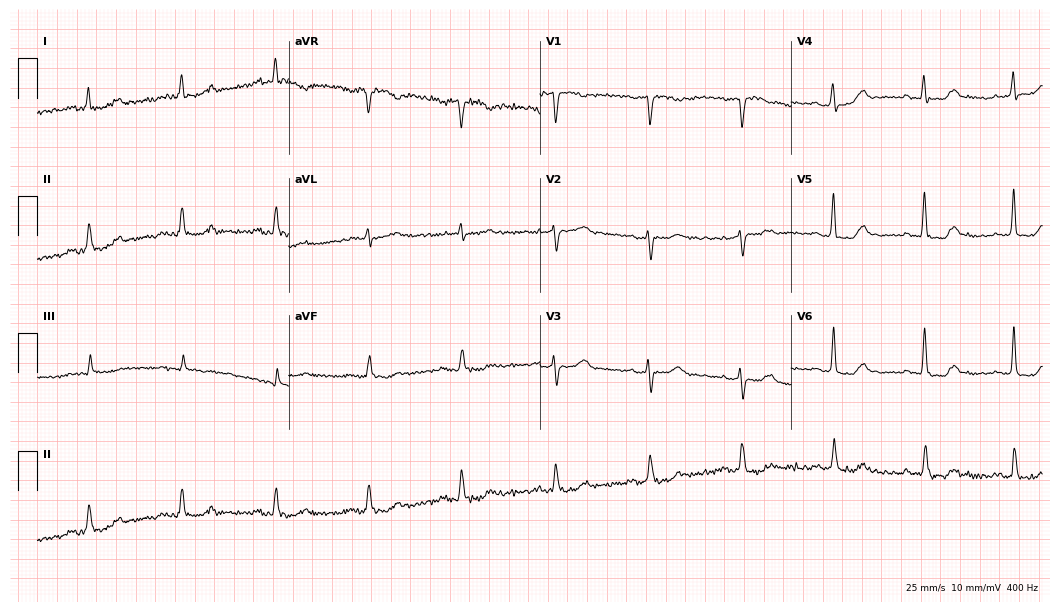
Resting 12-lead electrocardiogram (10.2-second recording at 400 Hz). Patient: a 69-year-old female. None of these six findings is recorded: first-degree AV block, right bundle branch block, left bundle branch block, sinus bradycardia, atrial fibrillation, sinus tachycardia. Findings outside these six are not listed.